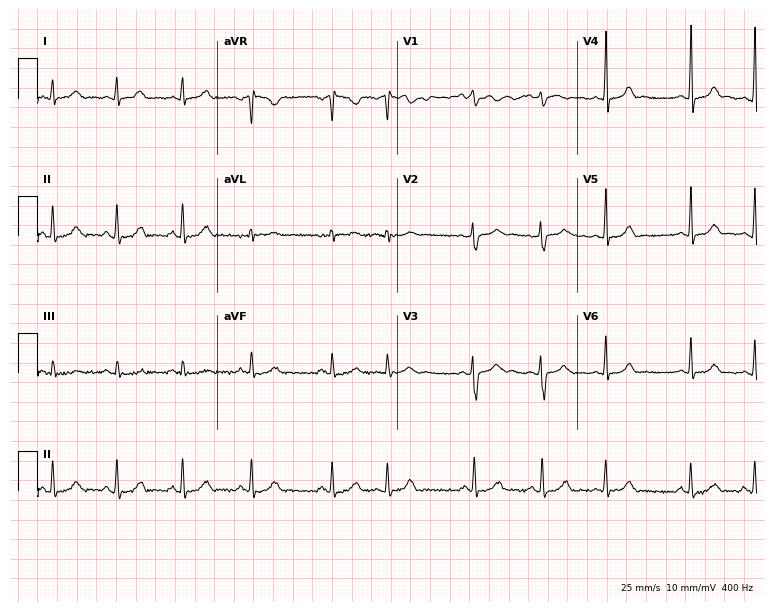
ECG (7.3-second recording at 400 Hz) — a 26-year-old woman. Screened for six findings — first-degree AV block, right bundle branch block (RBBB), left bundle branch block (LBBB), sinus bradycardia, atrial fibrillation (AF), sinus tachycardia — none is recorded. Other findings, if any, are not listed.